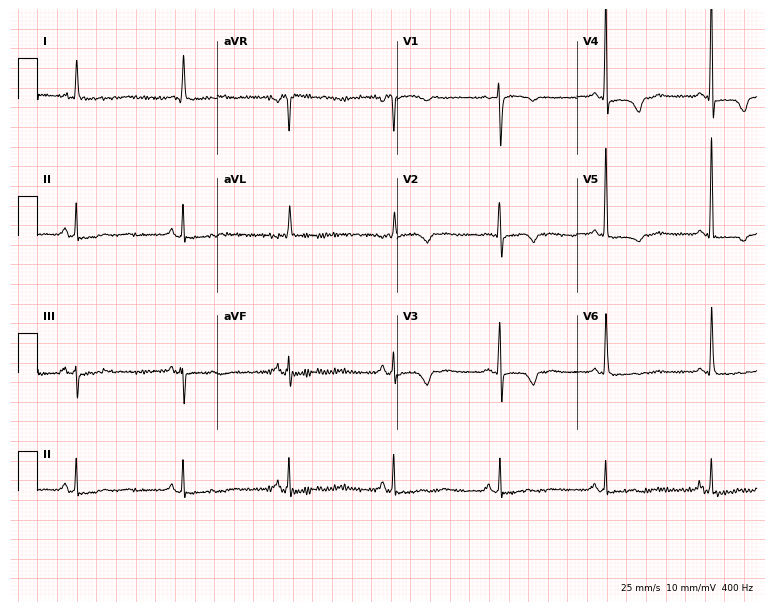
Standard 12-lead ECG recorded from a woman, 79 years old (7.3-second recording at 400 Hz). None of these six findings is recorded: first-degree AV block, right bundle branch block, left bundle branch block, sinus bradycardia, atrial fibrillation, sinus tachycardia.